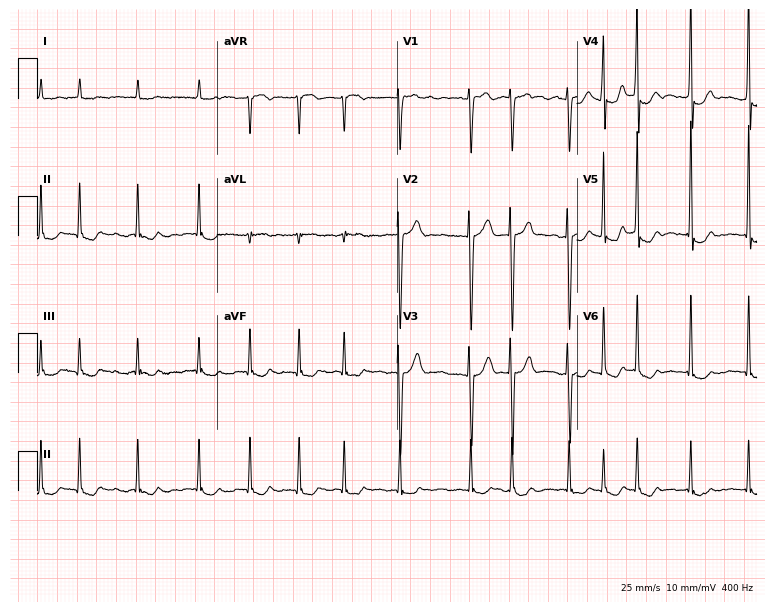
Resting 12-lead electrocardiogram (7.3-second recording at 400 Hz). Patient: a female, 85 years old. The tracing shows atrial fibrillation.